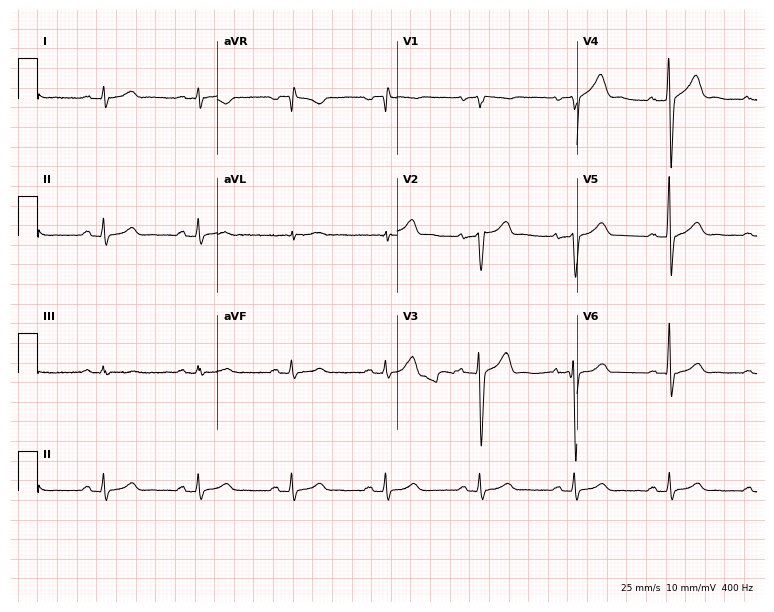
Electrocardiogram (7.3-second recording at 400 Hz), a 48-year-old man. Of the six screened findings (first-degree AV block, right bundle branch block, left bundle branch block, sinus bradycardia, atrial fibrillation, sinus tachycardia), none is recorded.